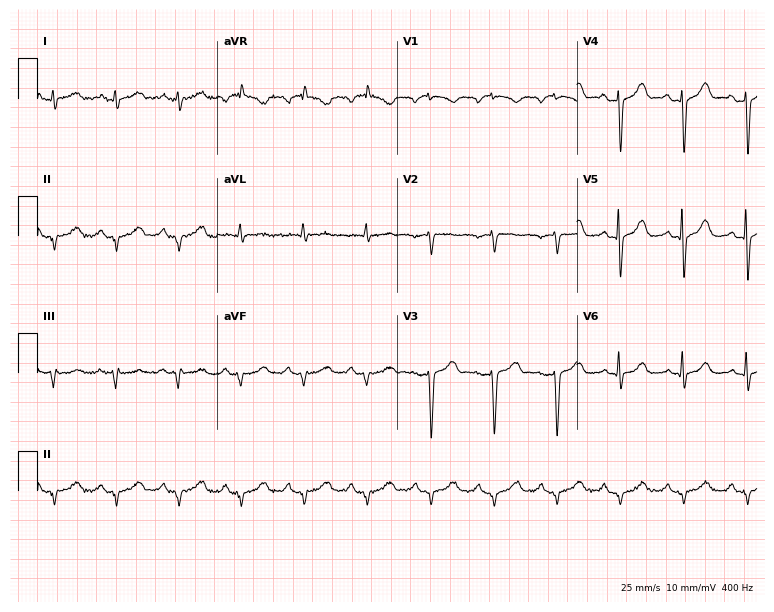
12-lead ECG from an 86-year-old male patient (7.3-second recording at 400 Hz). No first-degree AV block, right bundle branch block, left bundle branch block, sinus bradycardia, atrial fibrillation or sinus tachycardia recorded for this tracing. Findings outside these six are not listed.